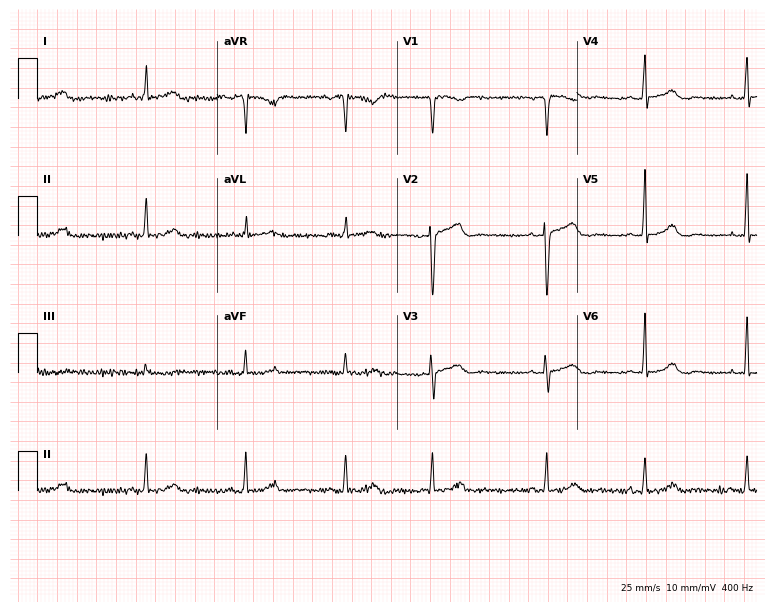
12-lead ECG (7.3-second recording at 400 Hz) from a 55-year-old woman. Screened for six findings — first-degree AV block, right bundle branch block, left bundle branch block, sinus bradycardia, atrial fibrillation, sinus tachycardia — none is recorded.